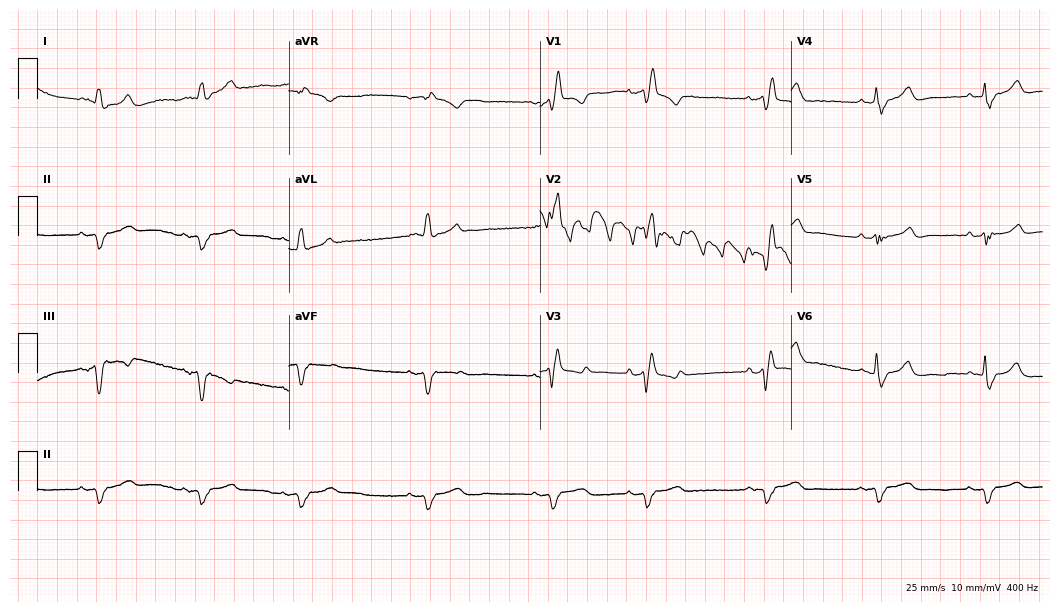
Resting 12-lead electrocardiogram. Patient: a male, 84 years old. The tracing shows right bundle branch block.